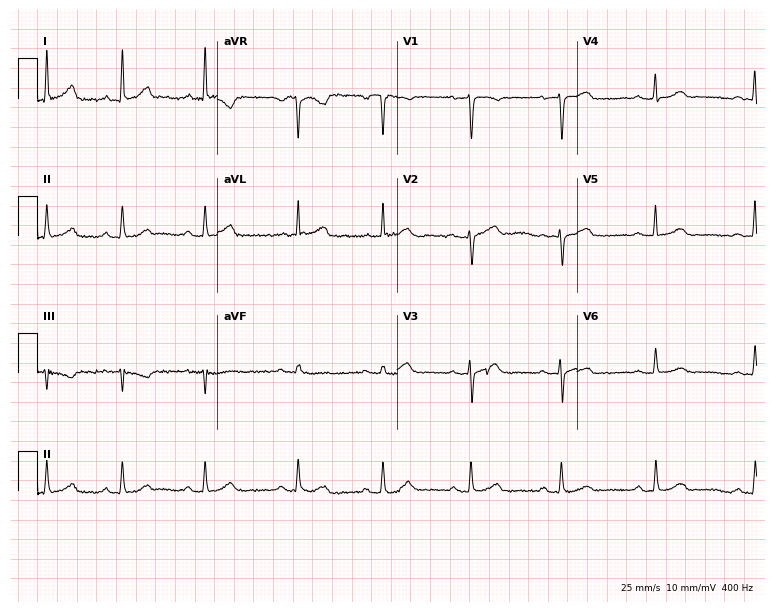
Electrocardiogram (7.3-second recording at 400 Hz), a 47-year-old woman. Of the six screened findings (first-degree AV block, right bundle branch block, left bundle branch block, sinus bradycardia, atrial fibrillation, sinus tachycardia), none is recorded.